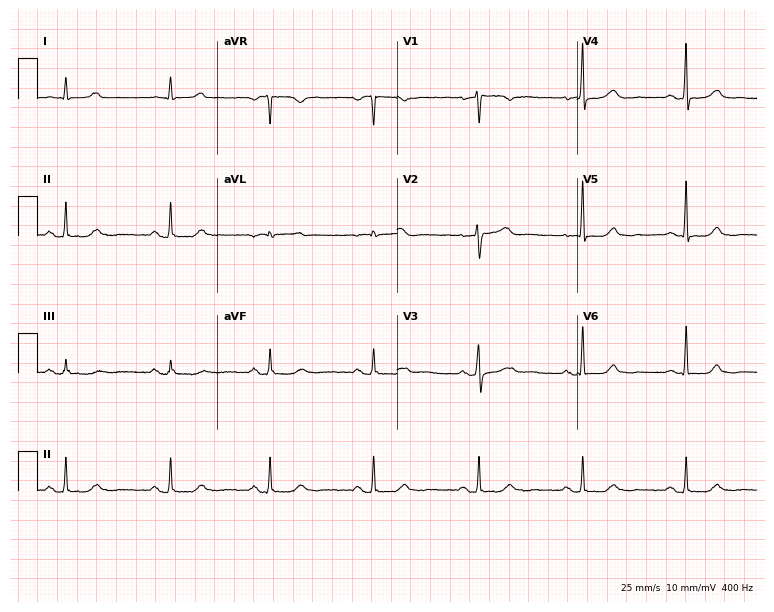
12-lead ECG from a female, 56 years old. Recorded interpretation: within normal limits.